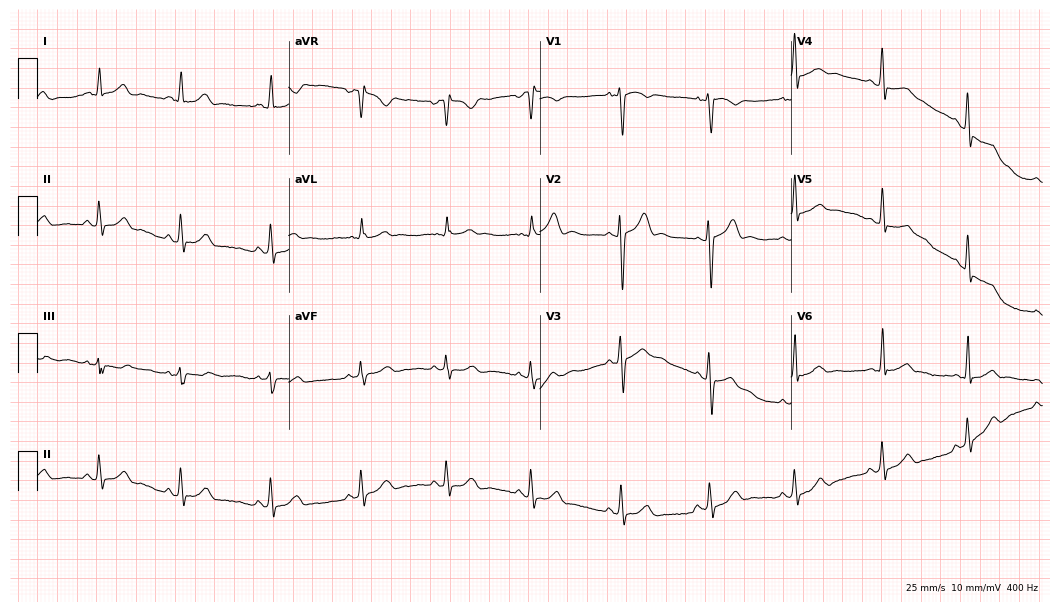
Electrocardiogram, an 18-year-old man. Overall reading on record: normal ECG.